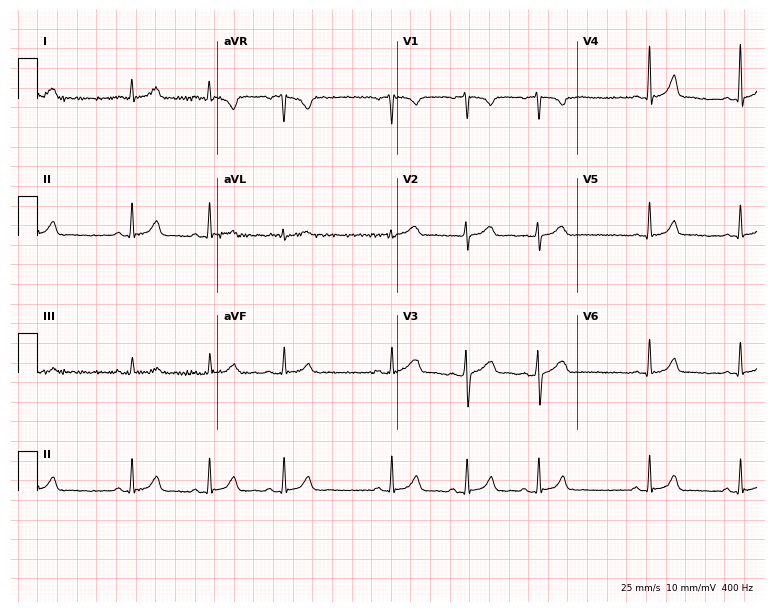
12-lead ECG from an 18-year-old female (7.3-second recording at 400 Hz). No first-degree AV block, right bundle branch block, left bundle branch block, sinus bradycardia, atrial fibrillation or sinus tachycardia recorded for this tracing. Findings outside these six are not listed.